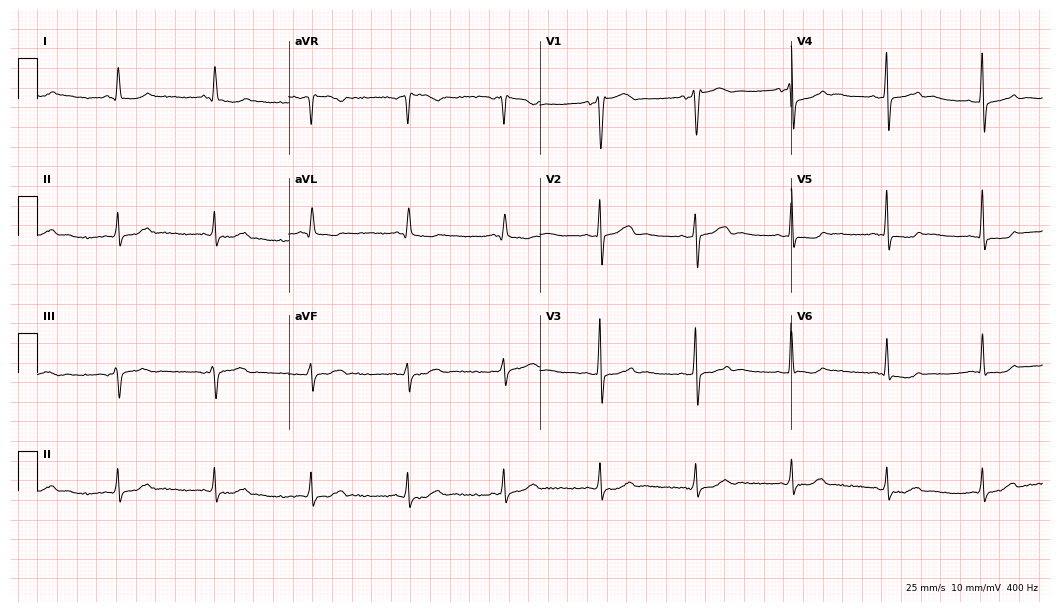
Resting 12-lead electrocardiogram. Patient: a male, 80 years old. None of these six findings is recorded: first-degree AV block, right bundle branch block, left bundle branch block, sinus bradycardia, atrial fibrillation, sinus tachycardia.